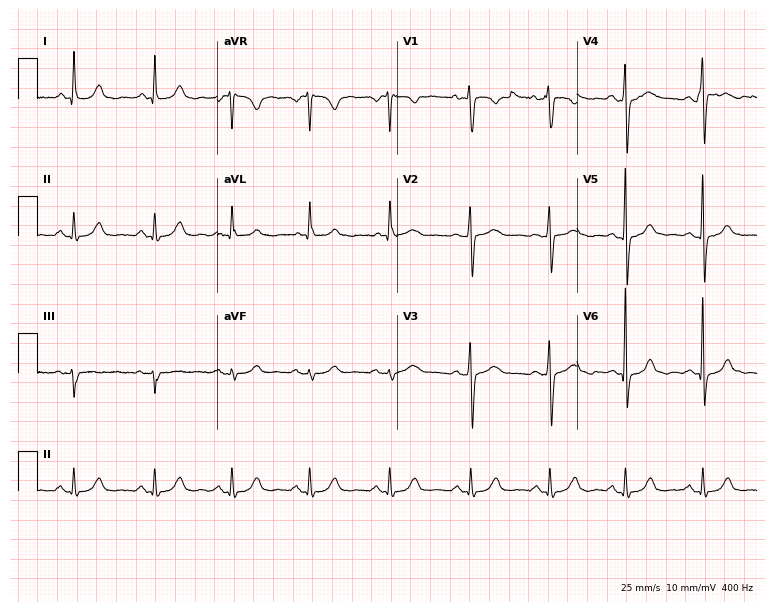
12-lead ECG (7.3-second recording at 400 Hz) from a female patient, 57 years old. Labelled as a normal ECG.